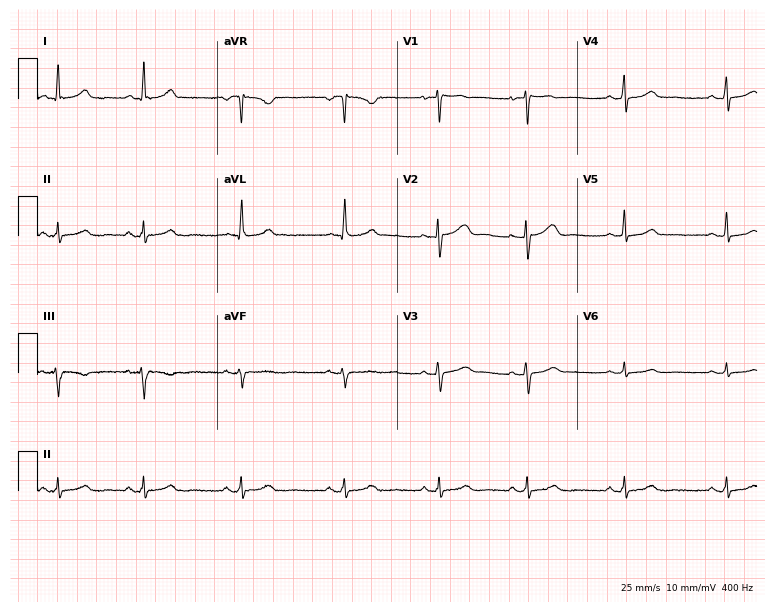
12-lead ECG from a female patient, 33 years old. No first-degree AV block, right bundle branch block, left bundle branch block, sinus bradycardia, atrial fibrillation or sinus tachycardia recorded for this tracing.